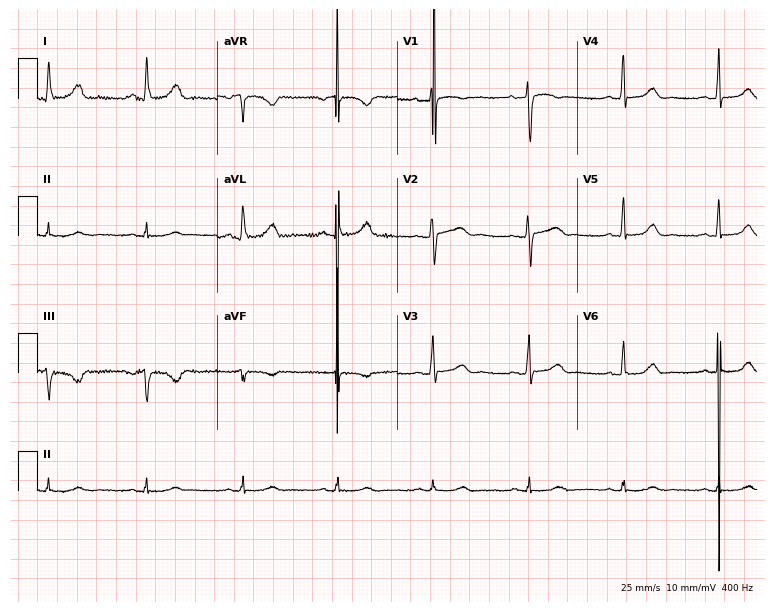
ECG — a female, 54 years old. Screened for six findings — first-degree AV block, right bundle branch block (RBBB), left bundle branch block (LBBB), sinus bradycardia, atrial fibrillation (AF), sinus tachycardia — none is recorded. Findings outside these six are not listed.